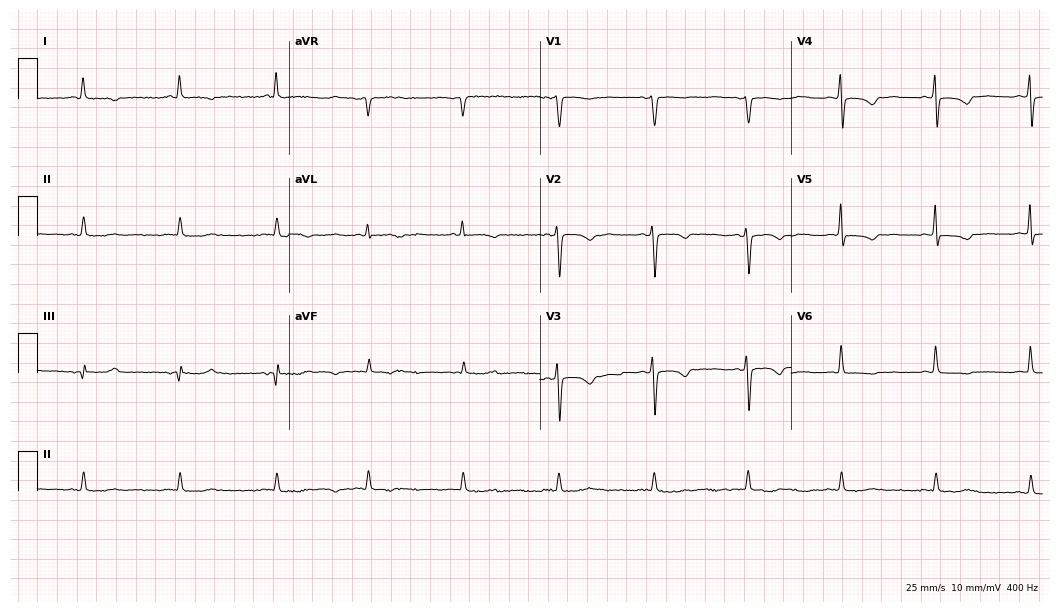
Resting 12-lead electrocardiogram. Patient: a 62-year-old female. None of these six findings is recorded: first-degree AV block, right bundle branch block, left bundle branch block, sinus bradycardia, atrial fibrillation, sinus tachycardia. Findings outside these six are not listed.